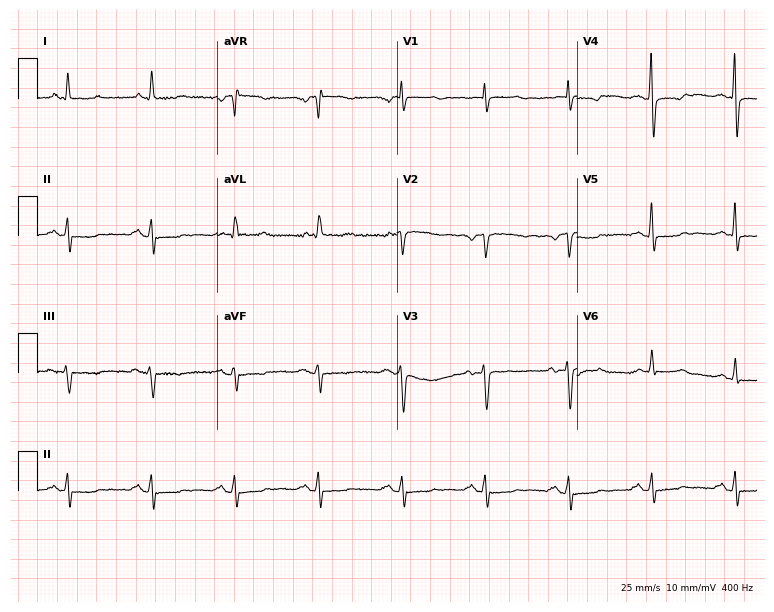
Electrocardiogram, a 74-year-old male patient. Of the six screened findings (first-degree AV block, right bundle branch block (RBBB), left bundle branch block (LBBB), sinus bradycardia, atrial fibrillation (AF), sinus tachycardia), none is recorded.